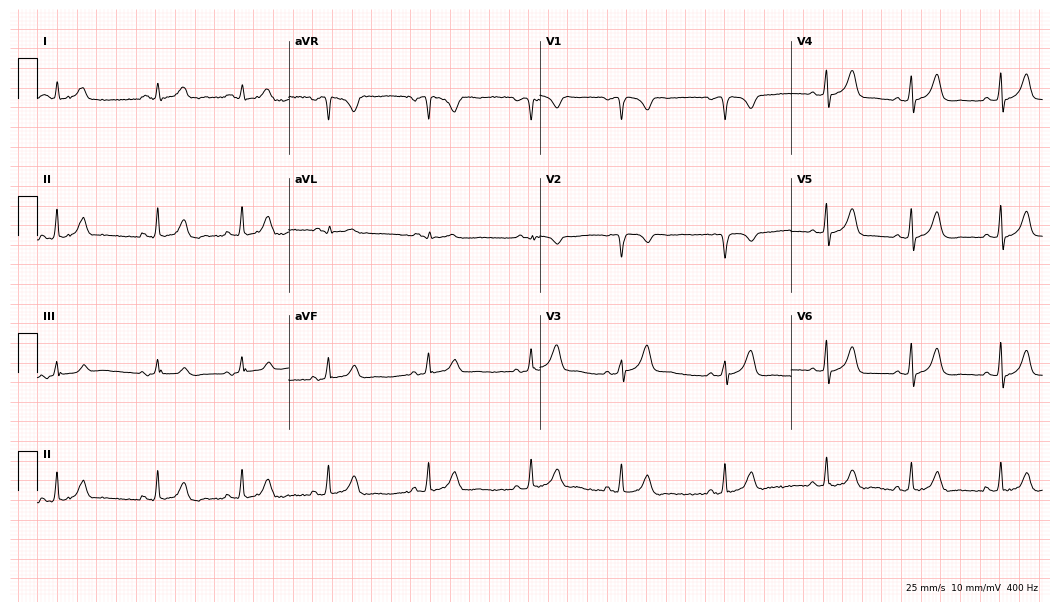
12-lead ECG from a 38-year-old male (10.2-second recording at 400 Hz). No first-degree AV block, right bundle branch block (RBBB), left bundle branch block (LBBB), sinus bradycardia, atrial fibrillation (AF) or sinus tachycardia recorded for this tracing.